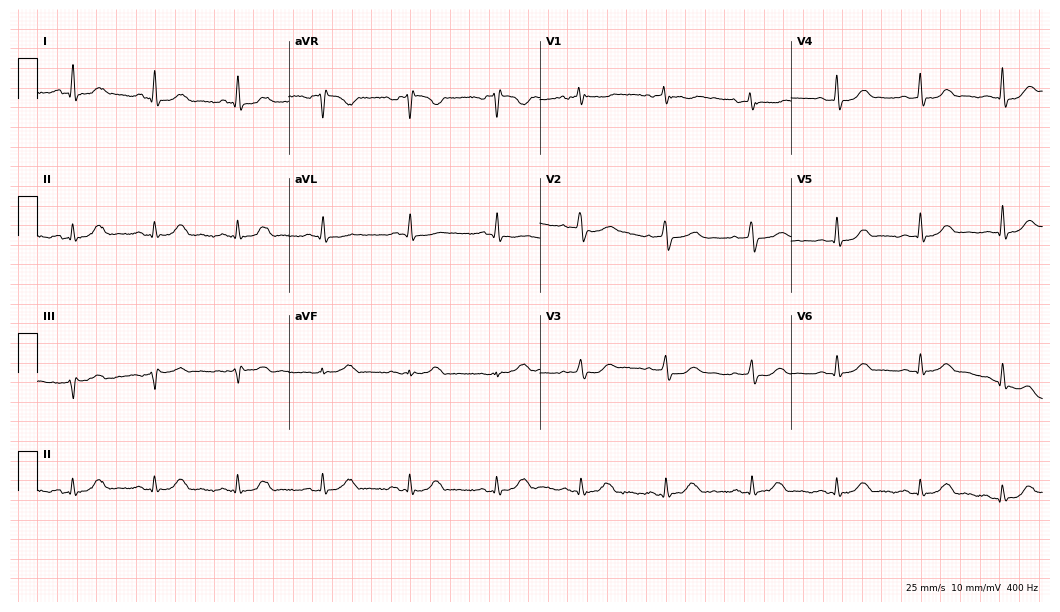
Resting 12-lead electrocardiogram. Patient: a female, 67 years old. Read as a normal ECG.